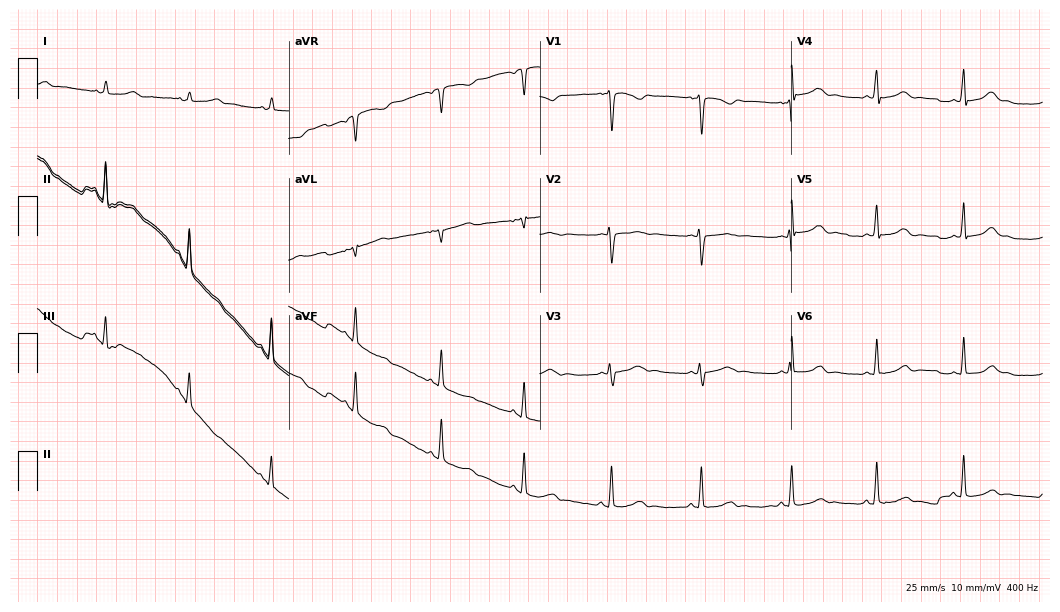
ECG (10.2-second recording at 400 Hz) — a 19-year-old woman. Labelled as a normal ECG.